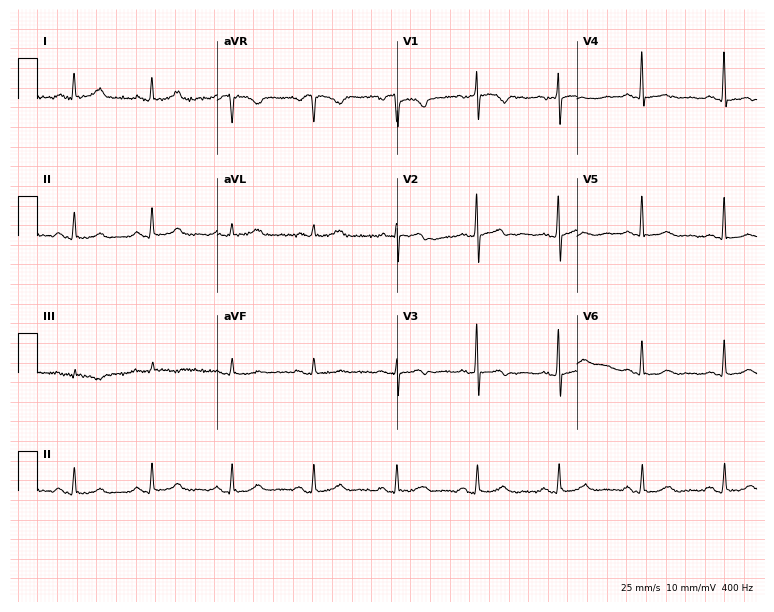
Standard 12-lead ECG recorded from a woman, 64 years old (7.3-second recording at 400 Hz). None of these six findings is recorded: first-degree AV block, right bundle branch block (RBBB), left bundle branch block (LBBB), sinus bradycardia, atrial fibrillation (AF), sinus tachycardia. Findings outside these six are not listed.